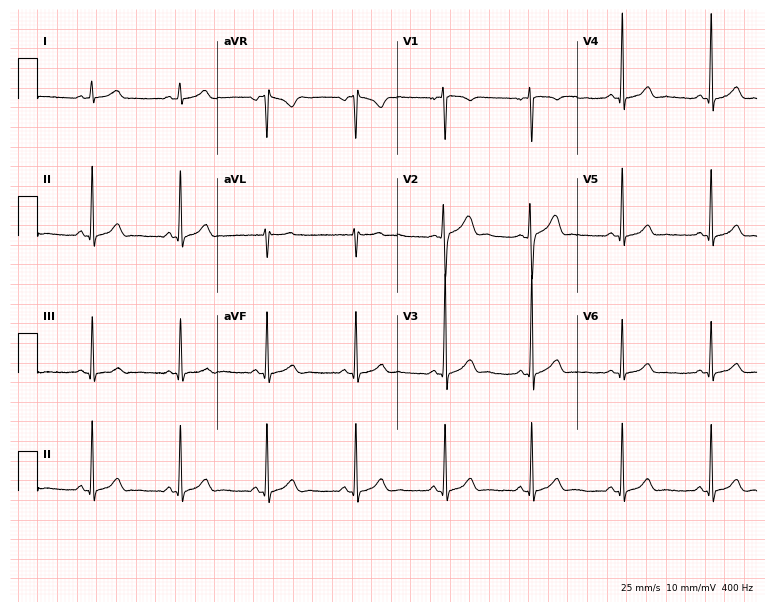
12-lead ECG from a man, 21 years old (7.3-second recording at 400 Hz). Recorded interpretation: within normal limits.